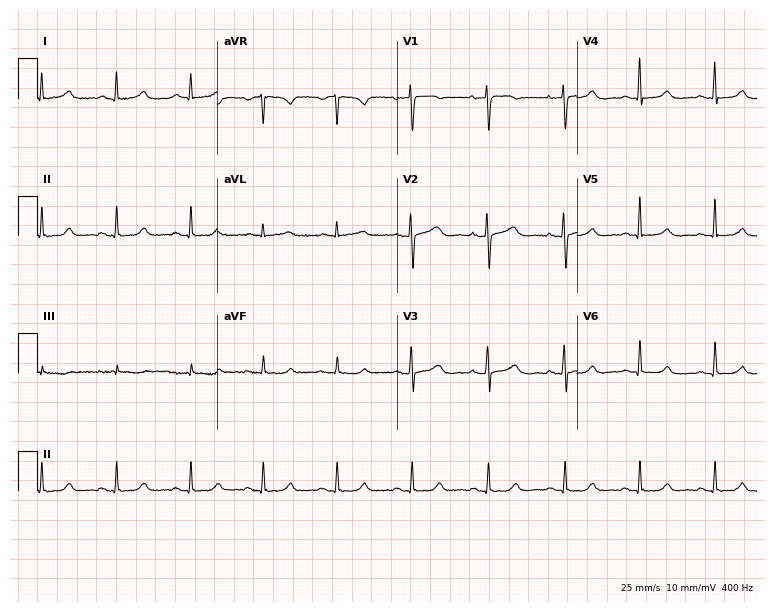
Electrocardiogram, a 53-year-old female patient. Overall reading on record: normal ECG.